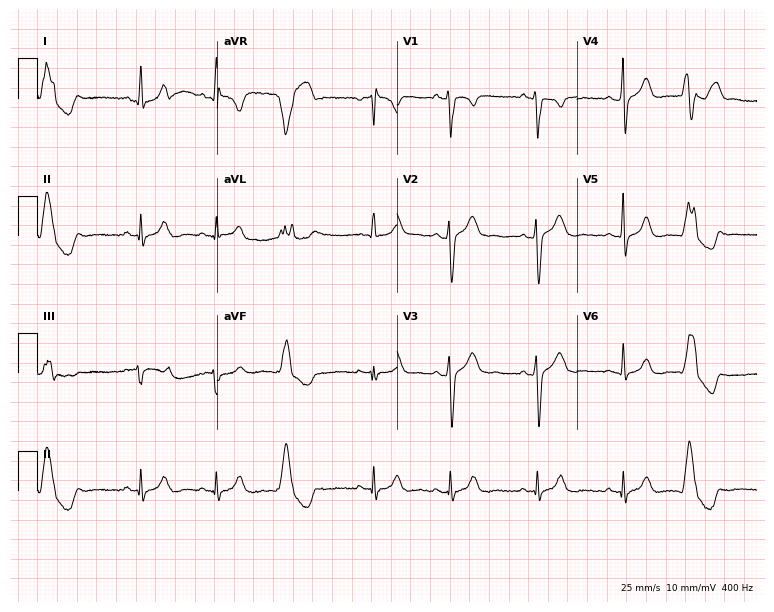
Standard 12-lead ECG recorded from a male patient, 31 years old. None of these six findings is recorded: first-degree AV block, right bundle branch block, left bundle branch block, sinus bradycardia, atrial fibrillation, sinus tachycardia. Findings outside these six are not listed.